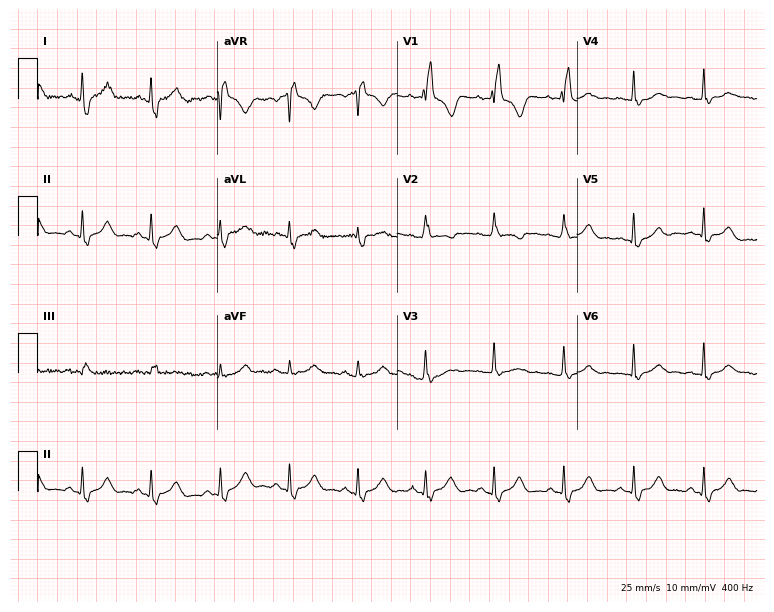
Electrocardiogram (7.3-second recording at 400 Hz), a woman, 35 years old. Interpretation includes right bundle branch block.